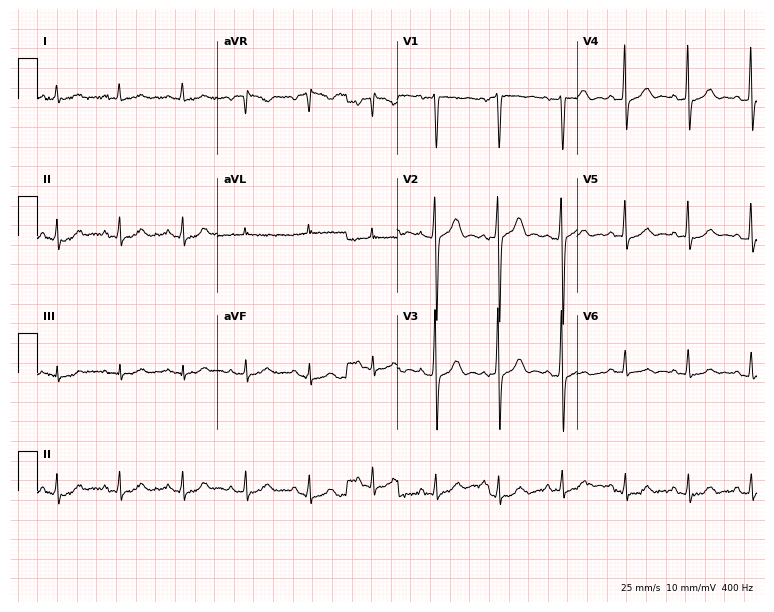
Resting 12-lead electrocardiogram. Patient: a 64-year-old male. None of these six findings is recorded: first-degree AV block, right bundle branch block, left bundle branch block, sinus bradycardia, atrial fibrillation, sinus tachycardia. Other findings, if any, are not listed.